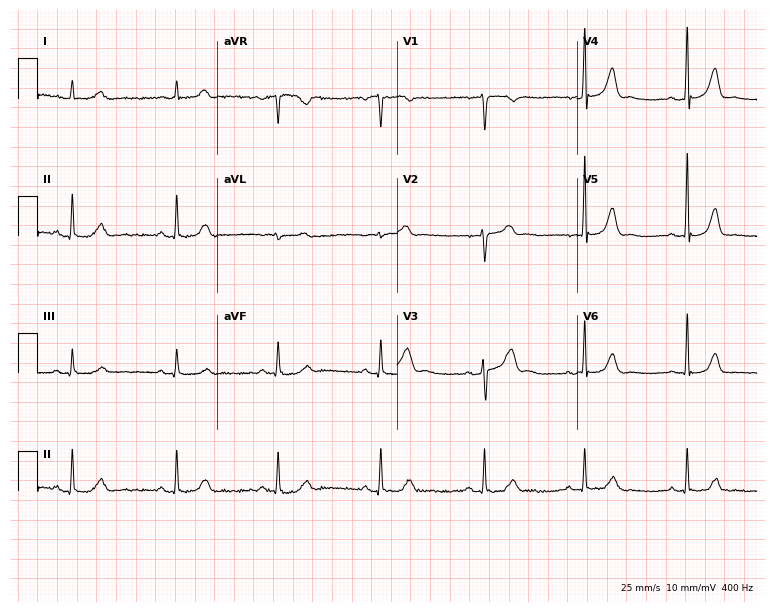
ECG (7.3-second recording at 400 Hz) — a male, 40 years old. Screened for six findings — first-degree AV block, right bundle branch block, left bundle branch block, sinus bradycardia, atrial fibrillation, sinus tachycardia — none is recorded. Findings outside these six are not listed.